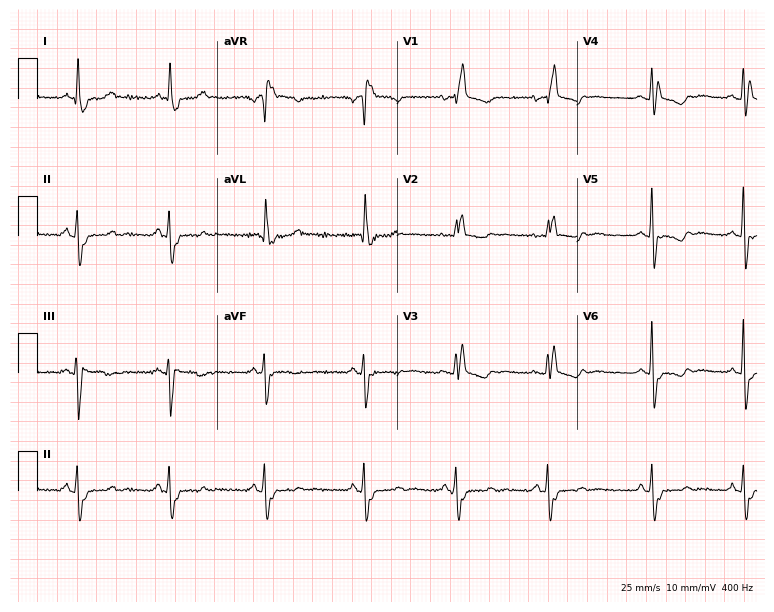
Electrocardiogram (7.3-second recording at 400 Hz), a female patient, 81 years old. Interpretation includes right bundle branch block.